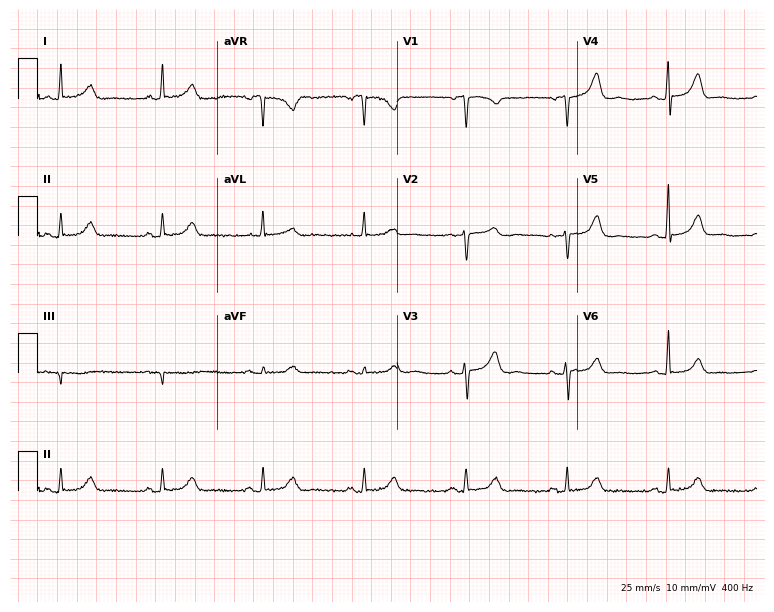
Resting 12-lead electrocardiogram. Patient: an 84-year-old female. Read as a normal ECG.